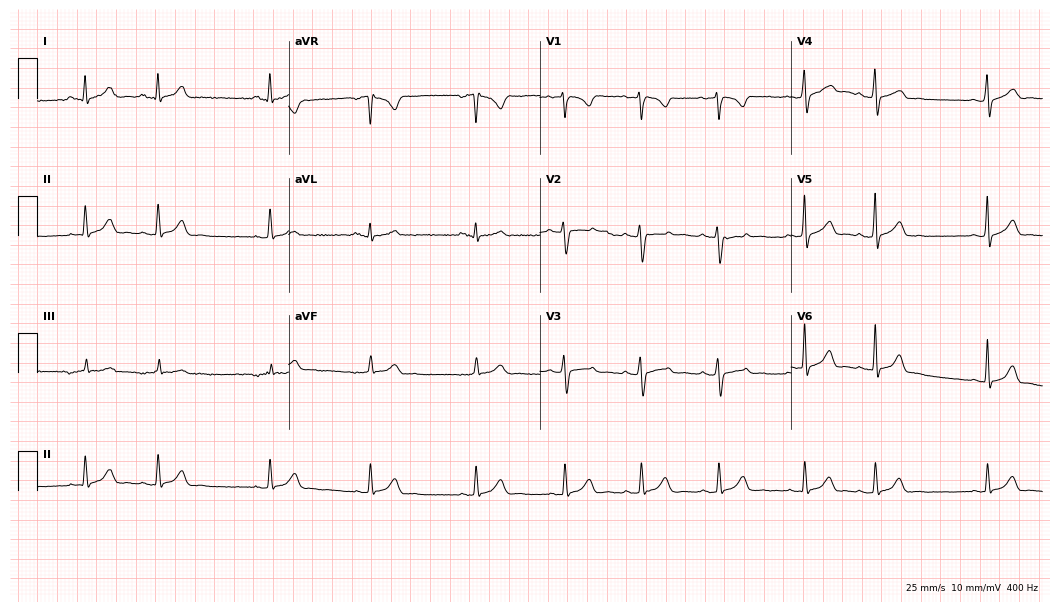
Resting 12-lead electrocardiogram. Patient: a 33-year-old female. None of these six findings is recorded: first-degree AV block, right bundle branch block, left bundle branch block, sinus bradycardia, atrial fibrillation, sinus tachycardia.